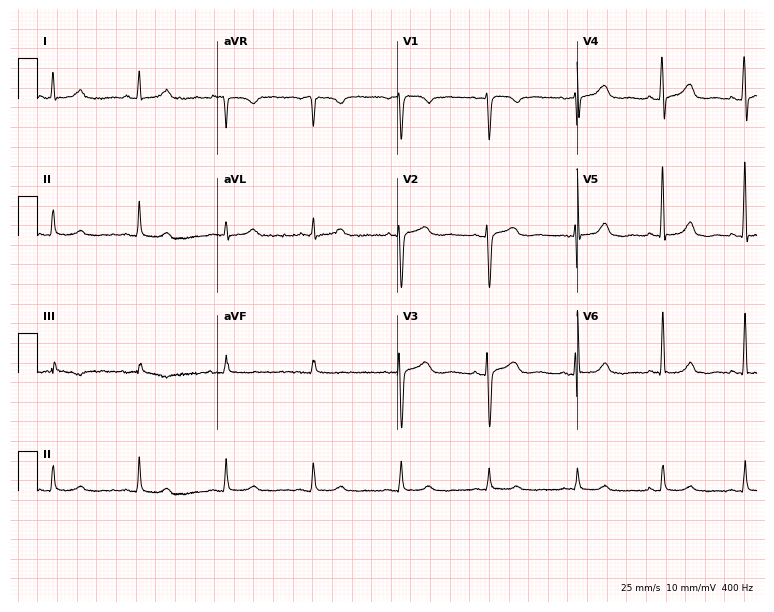
Resting 12-lead electrocardiogram. Patient: a female, 48 years old. Read as a normal ECG.